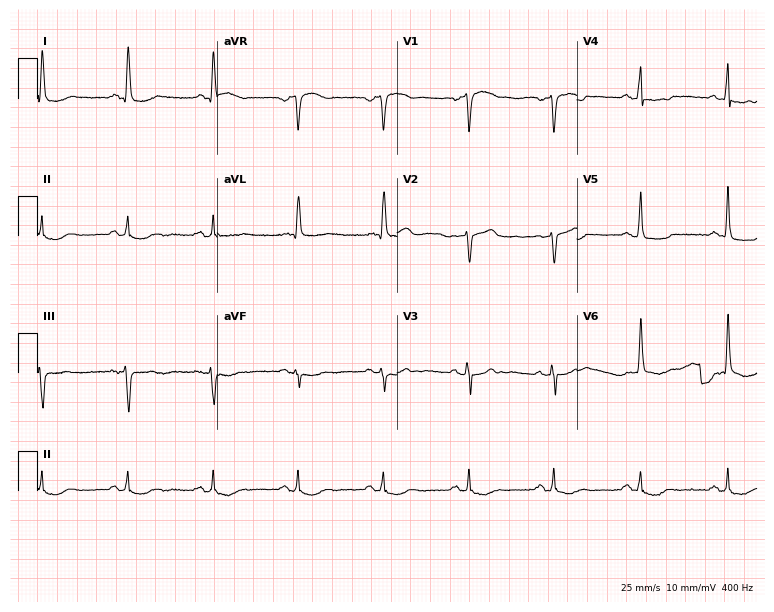
12-lead ECG from a 68-year-old male (7.3-second recording at 400 Hz). No first-degree AV block, right bundle branch block (RBBB), left bundle branch block (LBBB), sinus bradycardia, atrial fibrillation (AF) or sinus tachycardia recorded for this tracing.